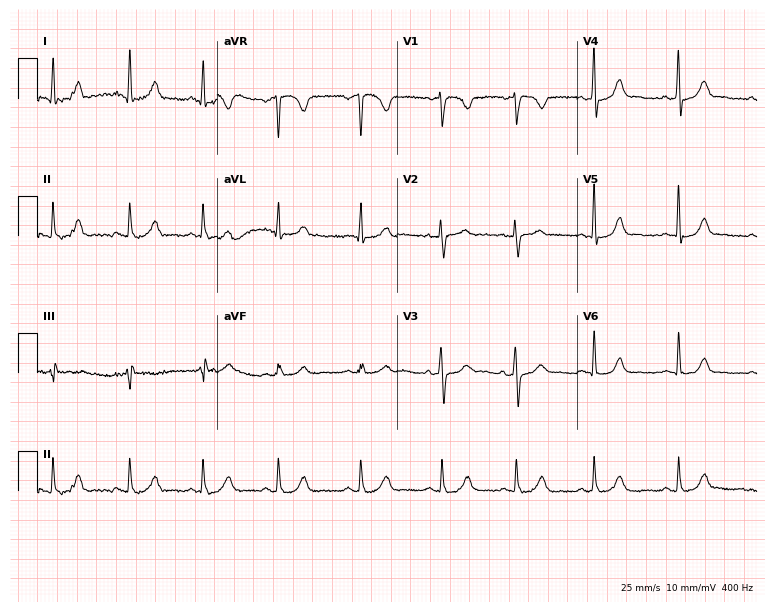
Electrocardiogram (7.3-second recording at 400 Hz), a 26-year-old woman. Overall reading on record: normal ECG.